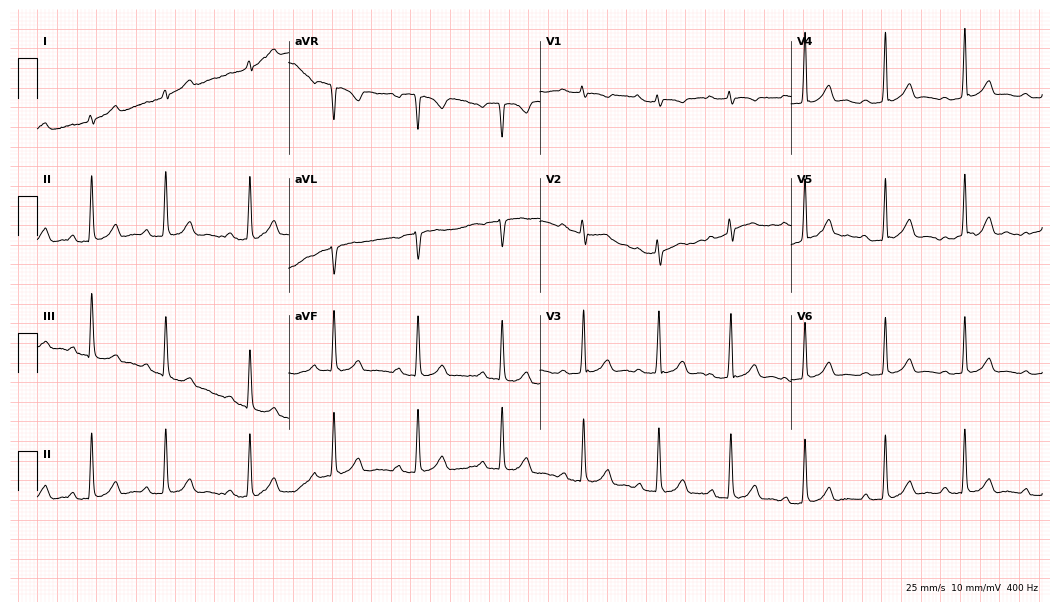
Resting 12-lead electrocardiogram. Patient: a 19-year-old female. The tracing shows first-degree AV block.